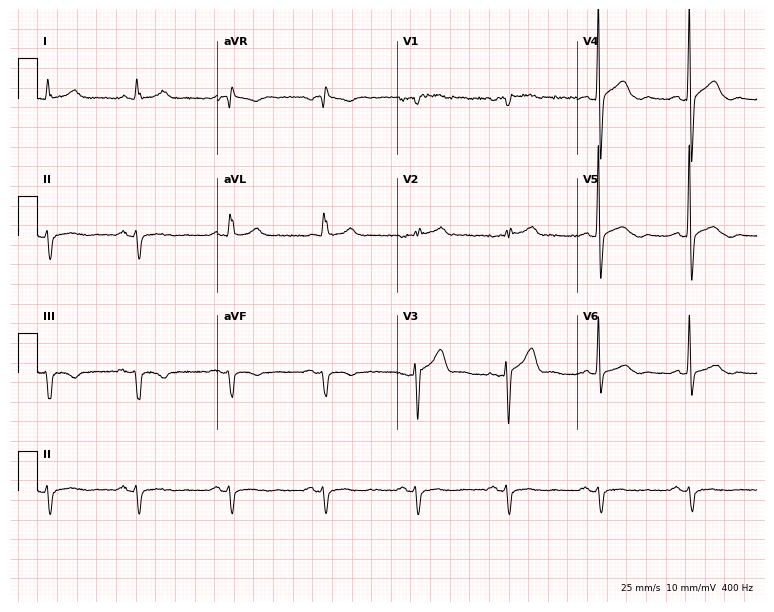
Standard 12-lead ECG recorded from a 77-year-old male patient (7.3-second recording at 400 Hz). None of these six findings is recorded: first-degree AV block, right bundle branch block, left bundle branch block, sinus bradycardia, atrial fibrillation, sinus tachycardia.